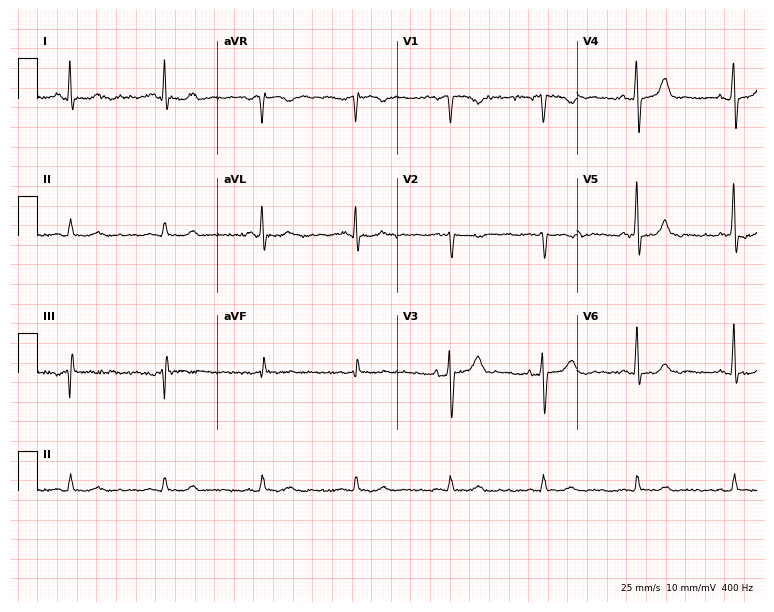
Standard 12-lead ECG recorded from a 64-year-old female patient. Read as a normal ECG.